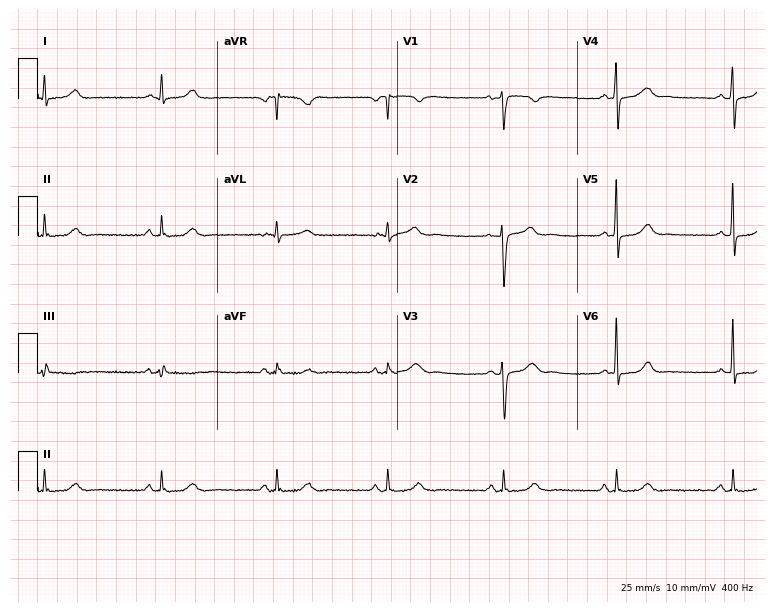
12-lead ECG from a 33-year-old female patient. Recorded interpretation: within normal limits.